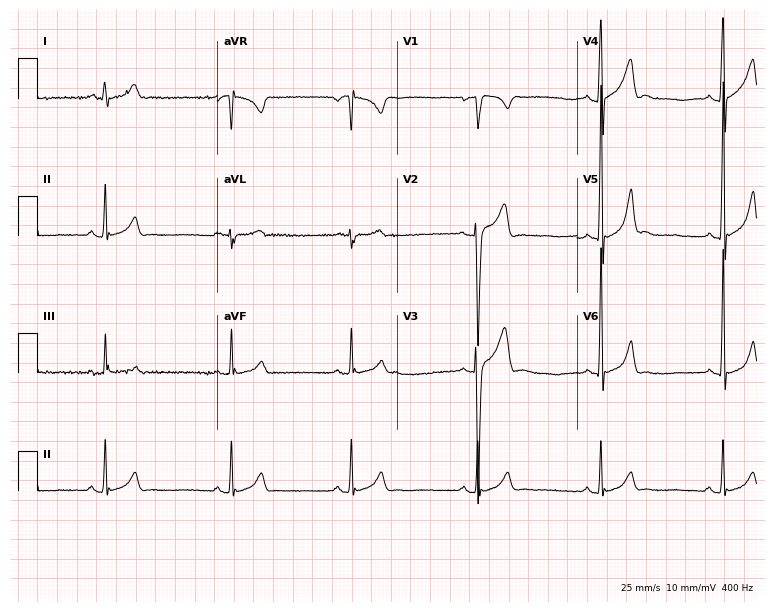
Resting 12-lead electrocardiogram. Patient: a male, 23 years old. The tracing shows sinus bradycardia (a sinus rate of 50 beats per minute or less).